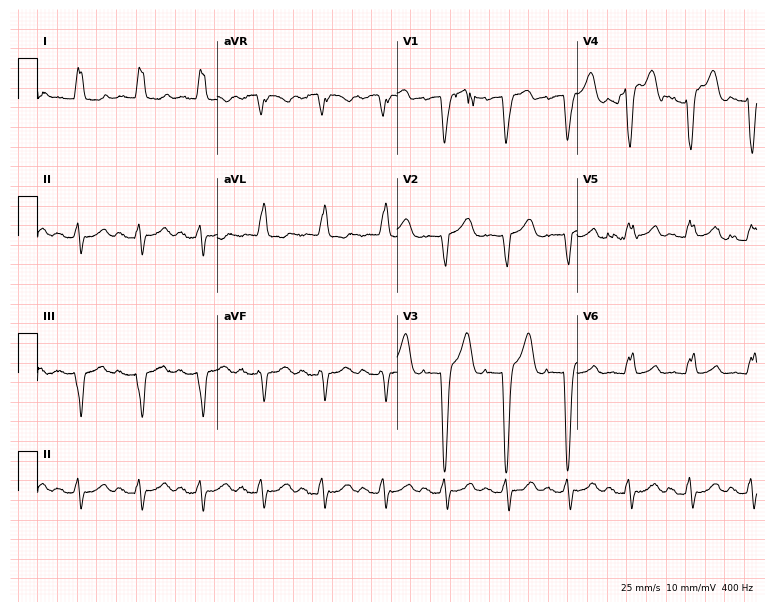
ECG (7.3-second recording at 400 Hz) — a female patient, 87 years old. Findings include left bundle branch block (LBBB).